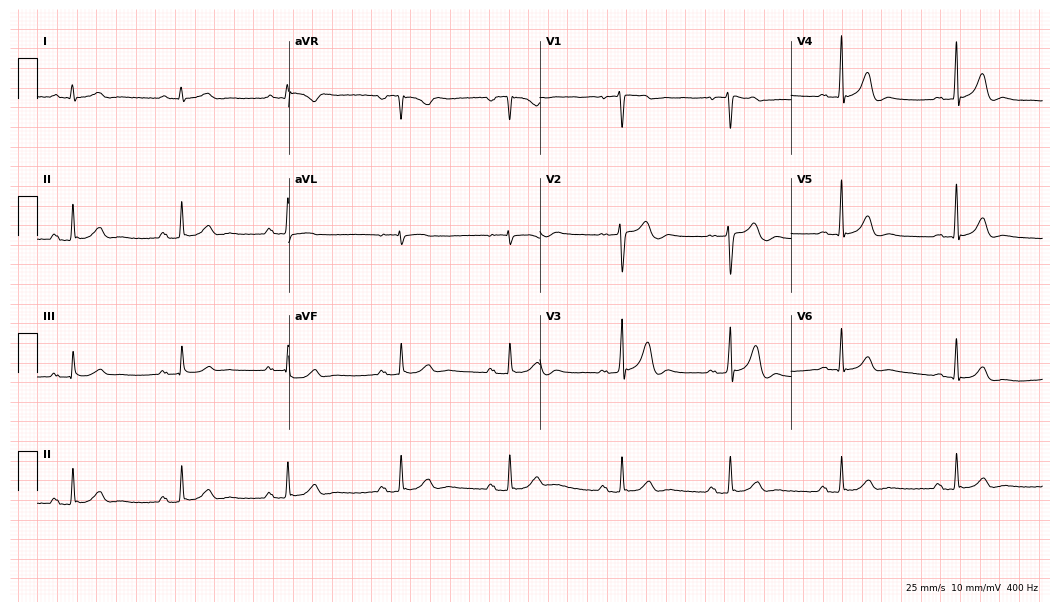
ECG — a man, 27 years old. Labelled as a normal ECG.